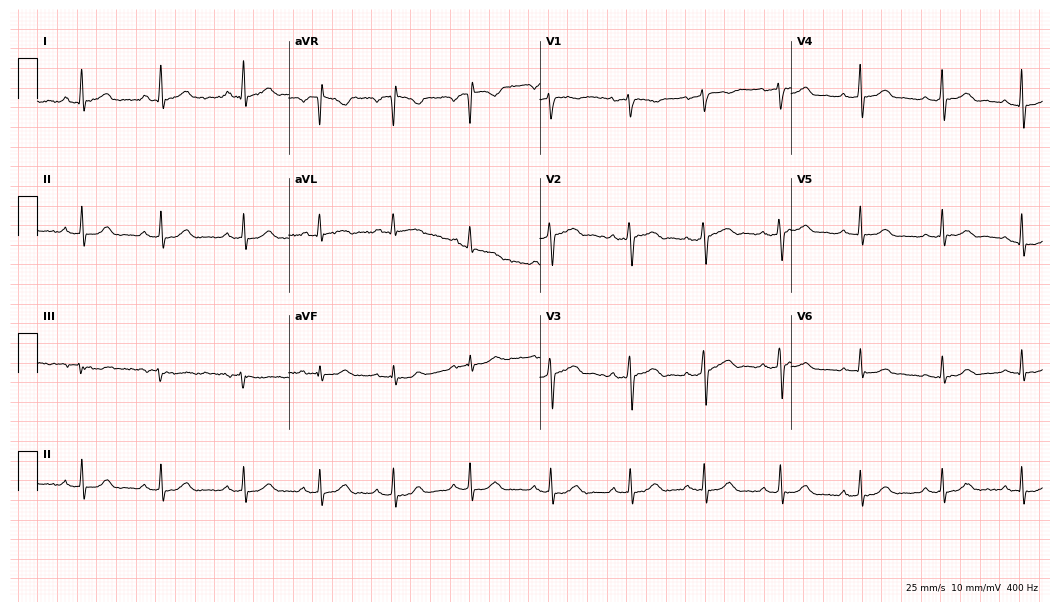
Electrocardiogram, a female patient, 37 years old. Overall reading on record: normal ECG.